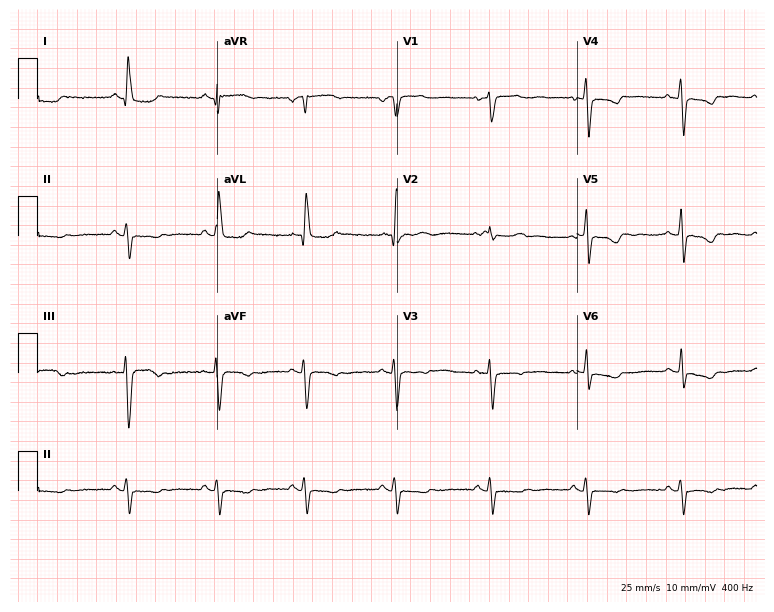
ECG (7.3-second recording at 400 Hz) — a 56-year-old female. Screened for six findings — first-degree AV block, right bundle branch block (RBBB), left bundle branch block (LBBB), sinus bradycardia, atrial fibrillation (AF), sinus tachycardia — none is recorded. Only these six findings were labelled.